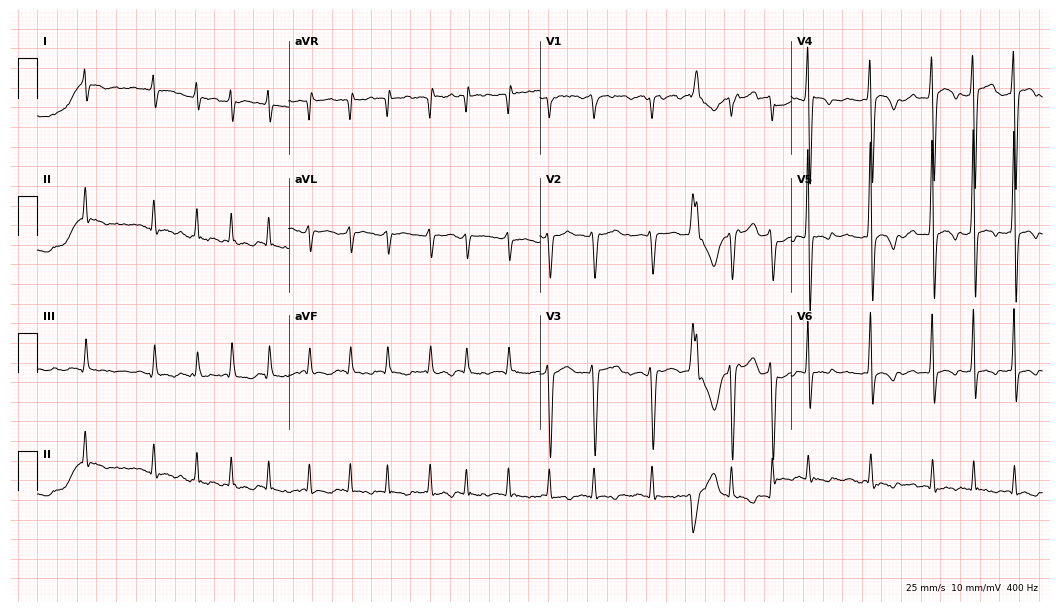
Resting 12-lead electrocardiogram. Patient: a 52-year-old male. The tracing shows atrial fibrillation (AF).